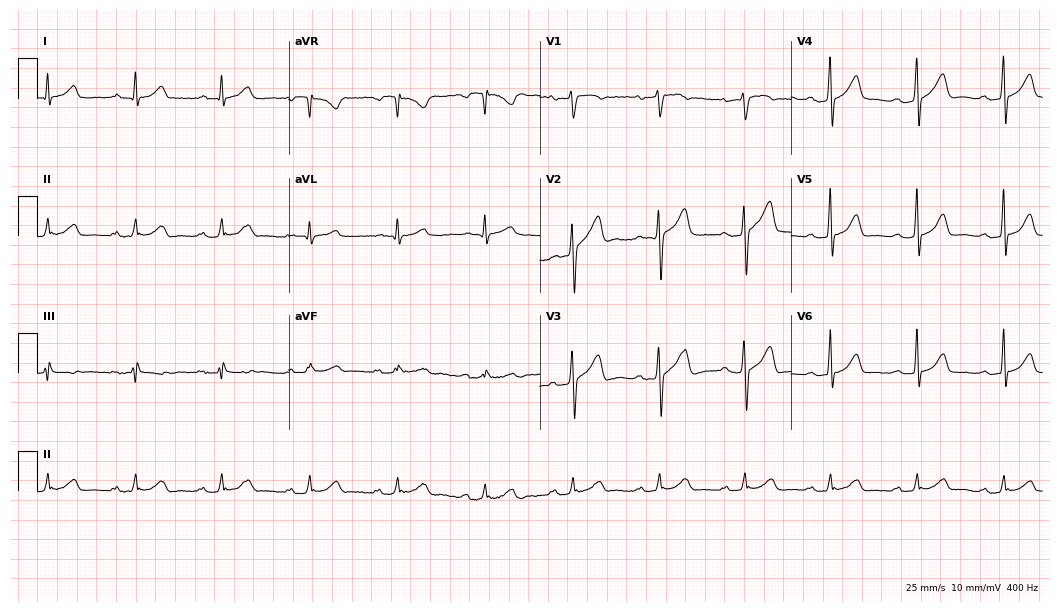
Resting 12-lead electrocardiogram (10.2-second recording at 400 Hz). Patient: a 55-year-old man. The tracing shows first-degree AV block.